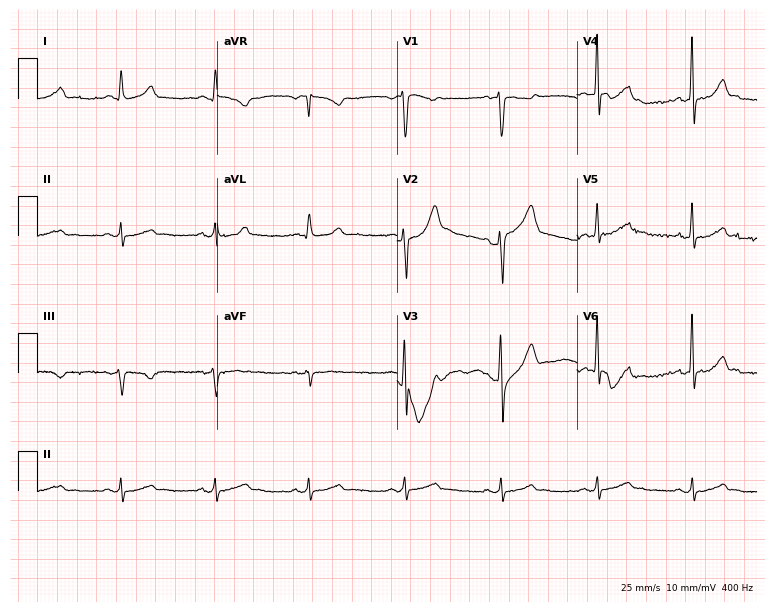
12-lead ECG from a male, 50 years old. Labelled as a normal ECG.